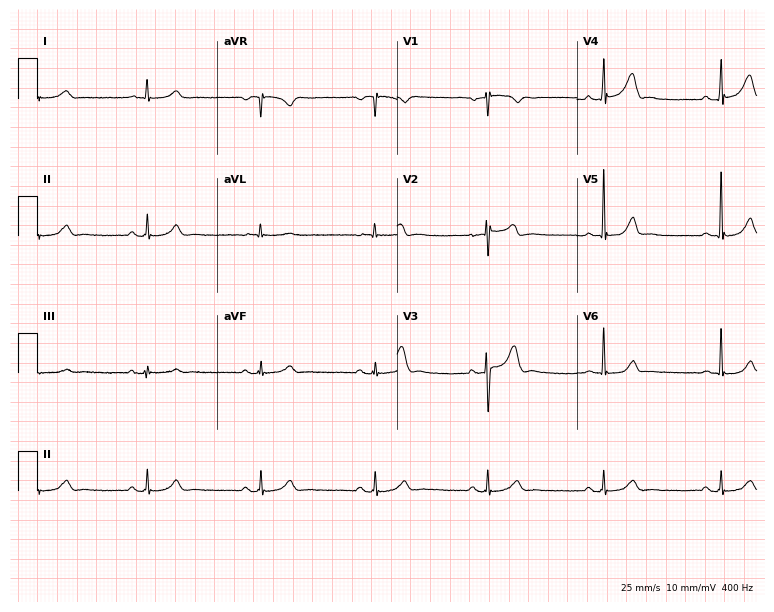
Standard 12-lead ECG recorded from a 75-year-old male (7.3-second recording at 400 Hz). Read as a normal ECG.